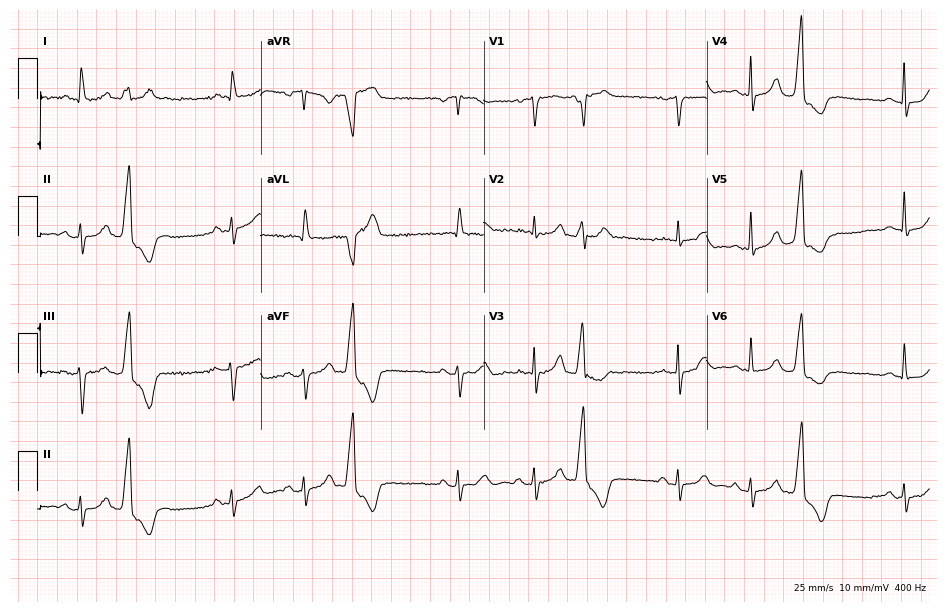
Resting 12-lead electrocardiogram (9.1-second recording at 400 Hz). Patient: a male, 78 years old. None of these six findings is recorded: first-degree AV block, right bundle branch block, left bundle branch block, sinus bradycardia, atrial fibrillation, sinus tachycardia.